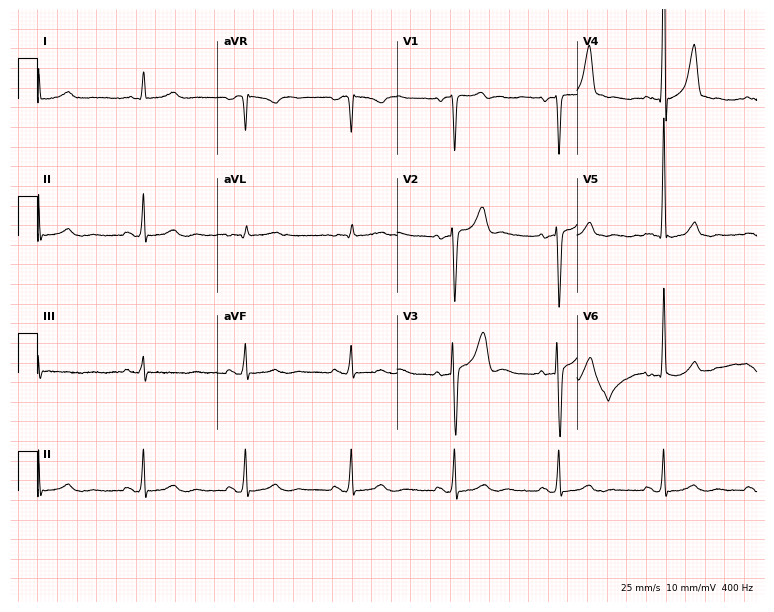
Resting 12-lead electrocardiogram (7.3-second recording at 400 Hz). Patient: a 50-year-old male. None of these six findings is recorded: first-degree AV block, right bundle branch block, left bundle branch block, sinus bradycardia, atrial fibrillation, sinus tachycardia.